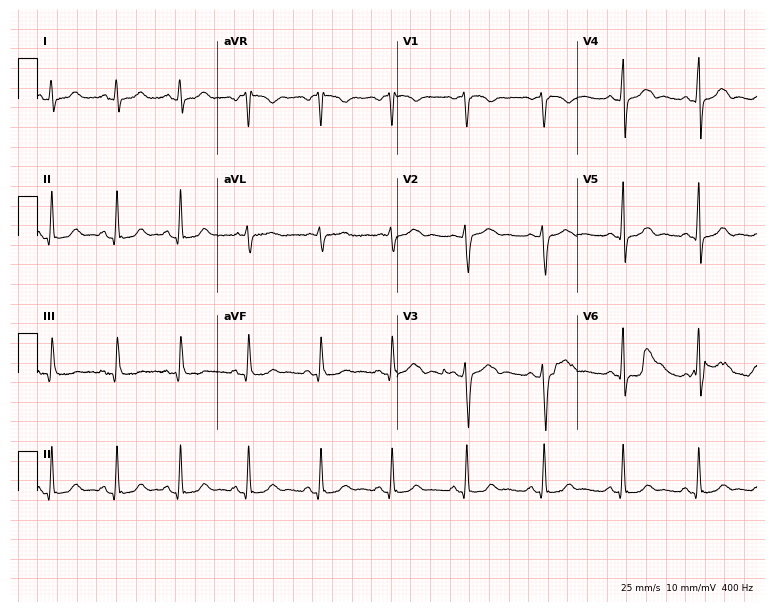
ECG — a 33-year-old female. Labelled as a normal ECG.